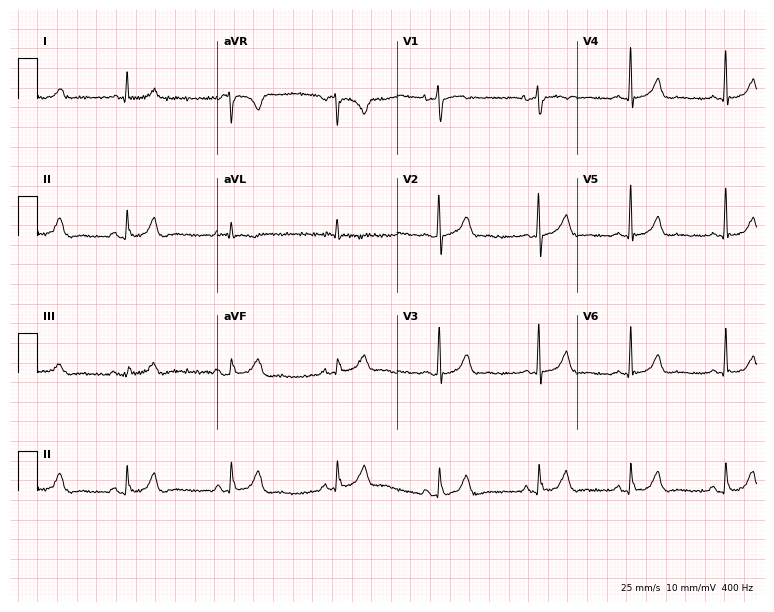
Electrocardiogram (7.3-second recording at 400 Hz), a female, 62 years old. Overall reading on record: normal ECG.